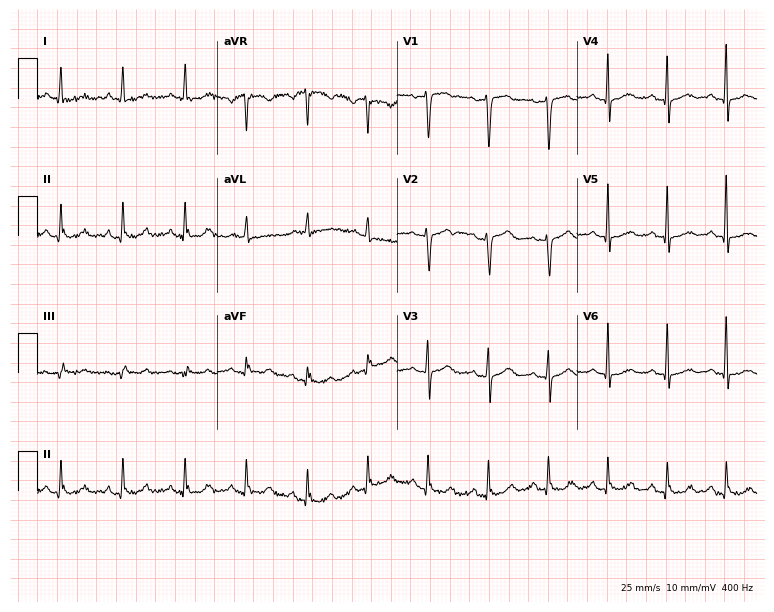
Standard 12-lead ECG recorded from a woman, 69 years old. None of these six findings is recorded: first-degree AV block, right bundle branch block (RBBB), left bundle branch block (LBBB), sinus bradycardia, atrial fibrillation (AF), sinus tachycardia.